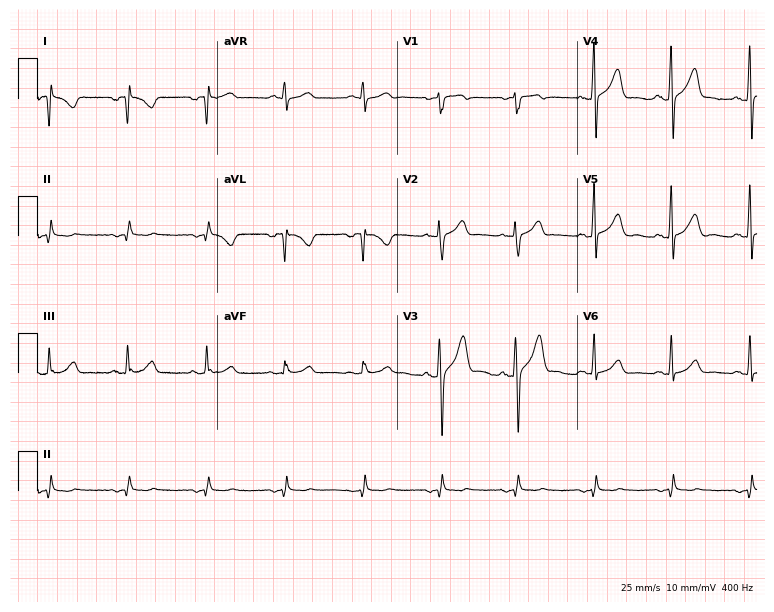
Resting 12-lead electrocardiogram. Patient: a male, 42 years old. None of these six findings is recorded: first-degree AV block, right bundle branch block, left bundle branch block, sinus bradycardia, atrial fibrillation, sinus tachycardia.